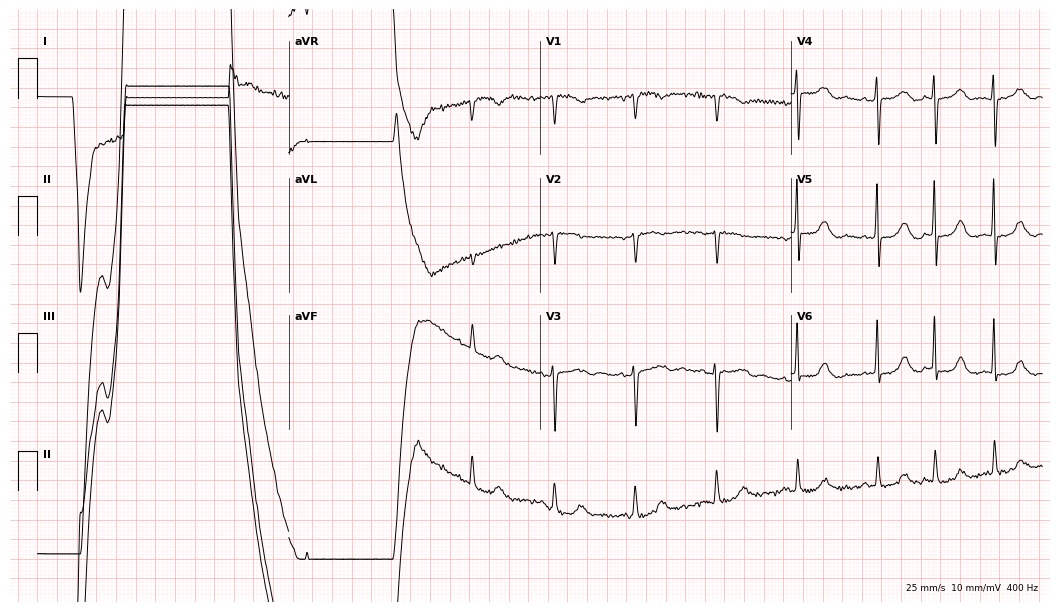
ECG — an 84-year-old female. Labelled as a normal ECG.